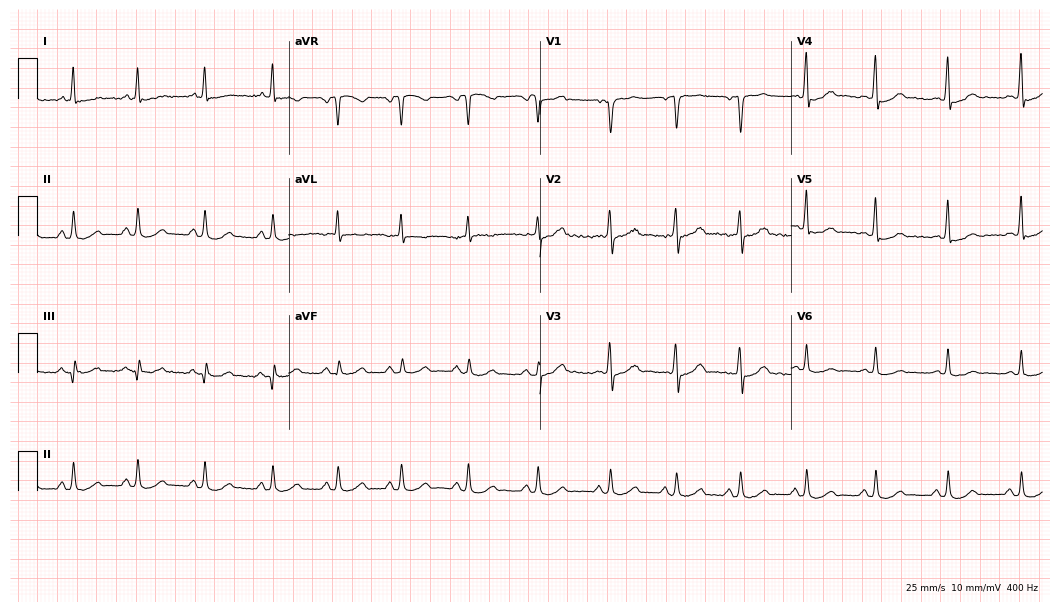
Standard 12-lead ECG recorded from a woman, 47 years old. Read as a normal ECG.